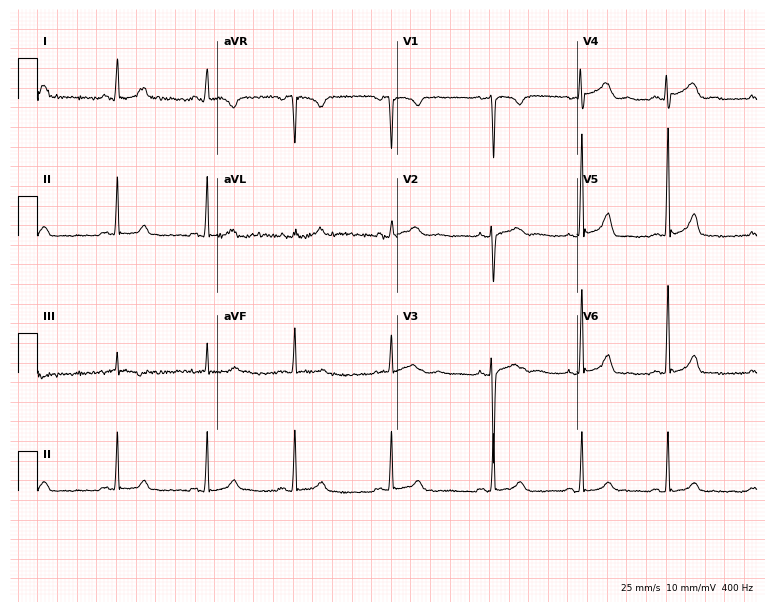
Electrocardiogram (7.3-second recording at 400 Hz), a woman, 27 years old. Of the six screened findings (first-degree AV block, right bundle branch block, left bundle branch block, sinus bradycardia, atrial fibrillation, sinus tachycardia), none is recorded.